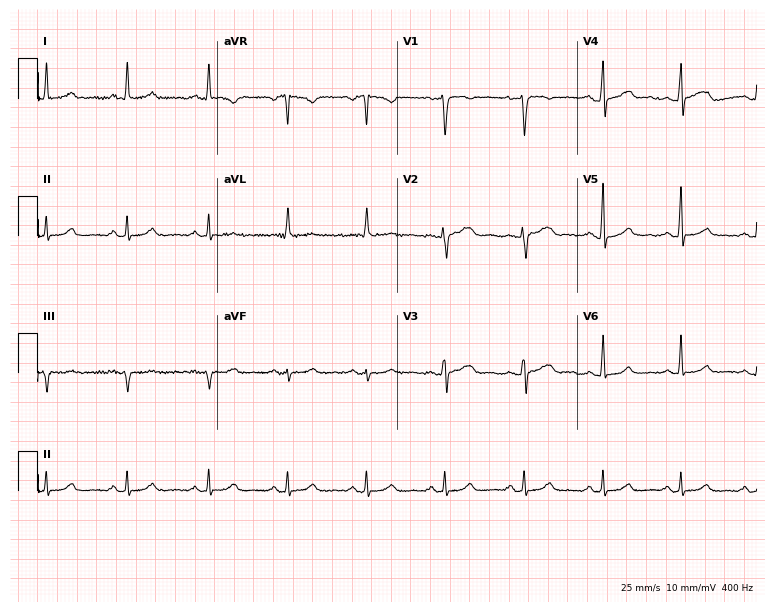
Electrocardiogram, a 55-year-old female. Of the six screened findings (first-degree AV block, right bundle branch block, left bundle branch block, sinus bradycardia, atrial fibrillation, sinus tachycardia), none is recorded. Findings outside these six are not listed.